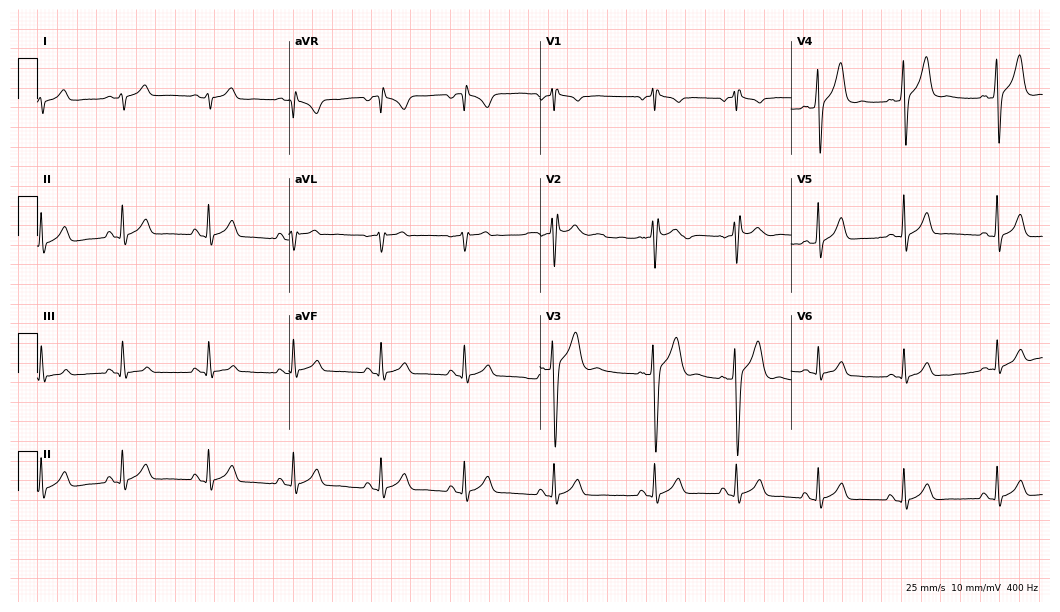
12-lead ECG (10.2-second recording at 400 Hz) from a 22-year-old male patient. Screened for six findings — first-degree AV block, right bundle branch block, left bundle branch block, sinus bradycardia, atrial fibrillation, sinus tachycardia — none is recorded. Findings outside these six are not listed.